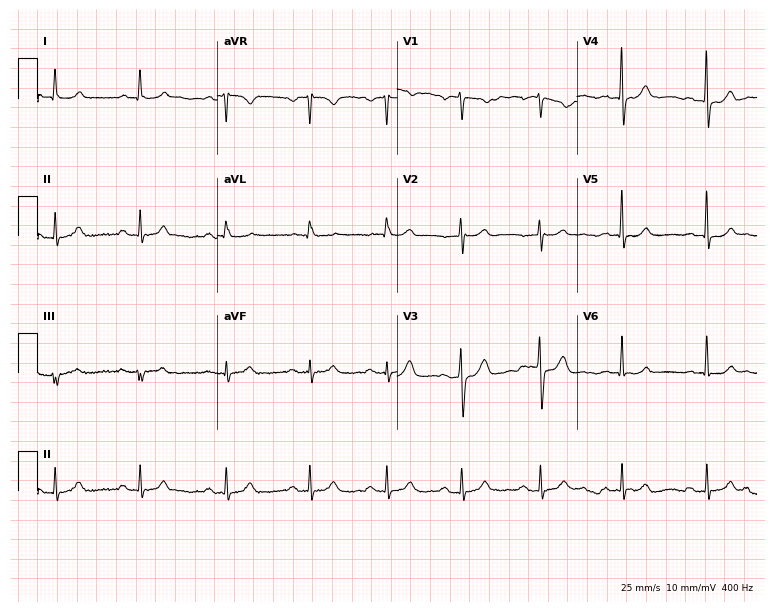
12-lead ECG from a 59-year-old man (7.3-second recording at 400 Hz). No first-degree AV block, right bundle branch block (RBBB), left bundle branch block (LBBB), sinus bradycardia, atrial fibrillation (AF) or sinus tachycardia recorded for this tracing.